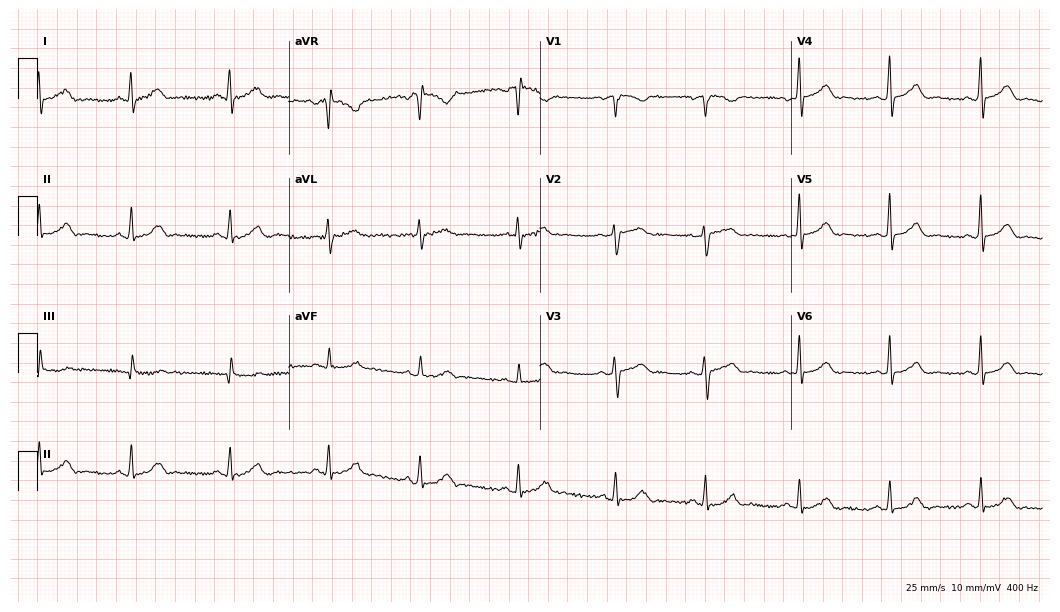
12-lead ECG from a 27-year-old female (10.2-second recording at 400 Hz). Recorded interpretation: within normal limits.